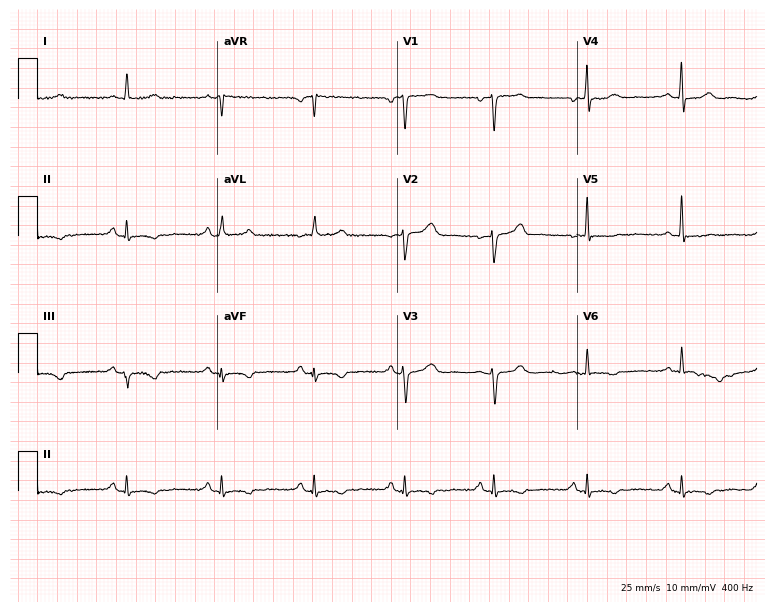
Standard 12-lead ECG recorded from a female patient, 57 years old (7.3-second recording at 400 Hz). None of these six findings is recorded: first-degree AV block, right bundle branch block, left bundle branch block, sinus bradycardia, atrial fibrillation, sinus tachycardia.